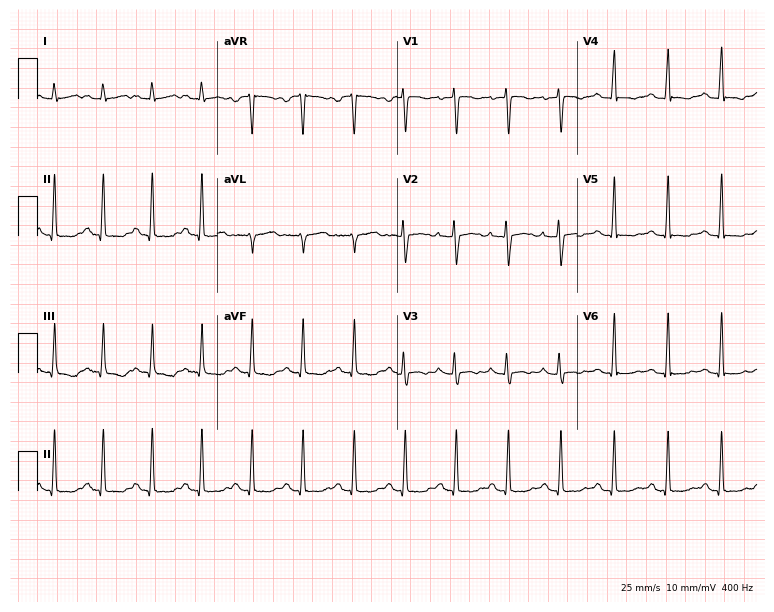
Resting 12-lead electrocardiogram. Patient: a 17-year-old female. The tracing shows sinus tachycardia (a sinus rate of 100 beats per minute or more).